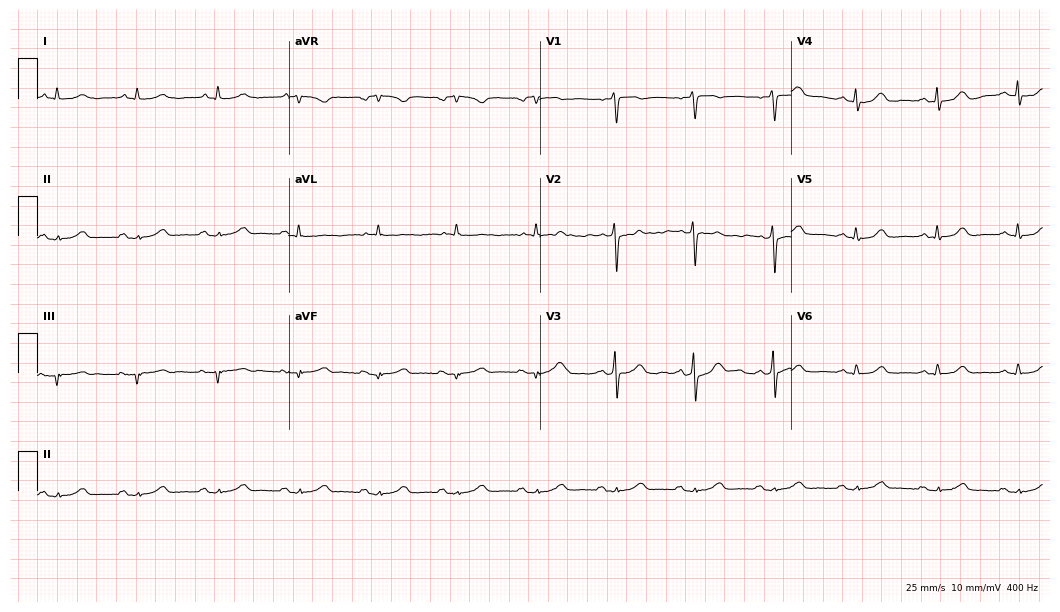
Standard 12-lead ECG recorded from a 54-year-old male patient (10.2-second recording at 400 Hz). Read as a normal ECG.